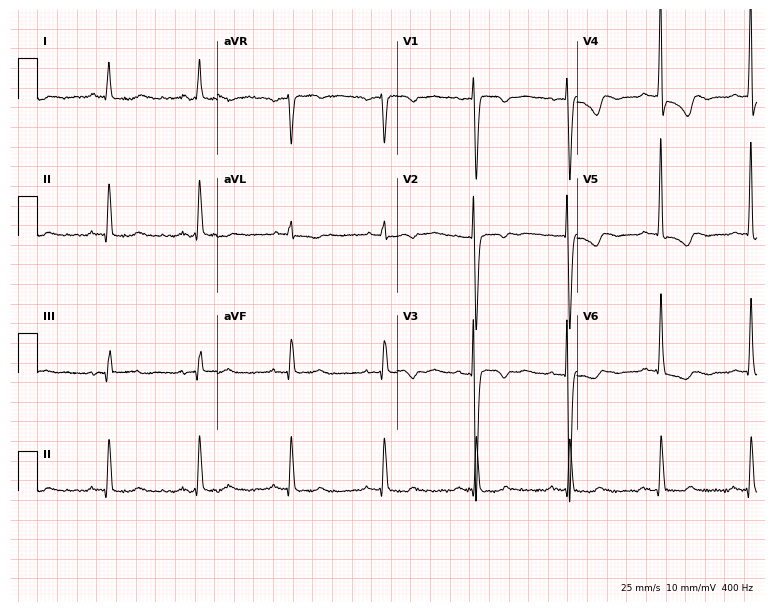
12-lead ECG from a woman, 41 years old. Screened for six findings — first-degree AV block, right bundle branch block, left bundle branch block, sinus bradycardia, atrial fibrillation, sinus tachycardia — none is recorded.